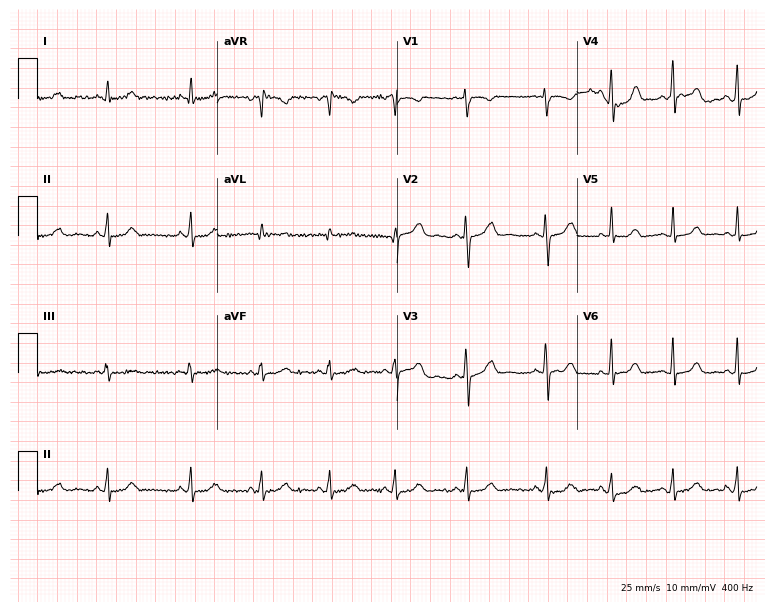
ECG — a female patient, 18 years old. Labelled as a normal ECG.